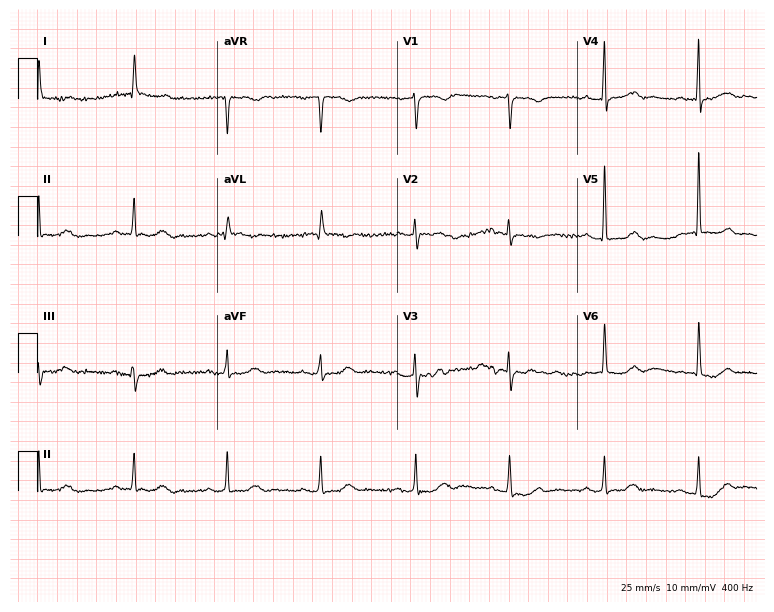
Resting 12-lead electrocardiogram (7.3-second recording at 400 Hz). Patient: a female, 60 years old. None of these six findings is recorded: first-degree AV block, right bundle branch block (RBBB), left bundle branch block (LBBB), sinus bradycardia, atrial fibrillation (AF), sinus tachycardia.